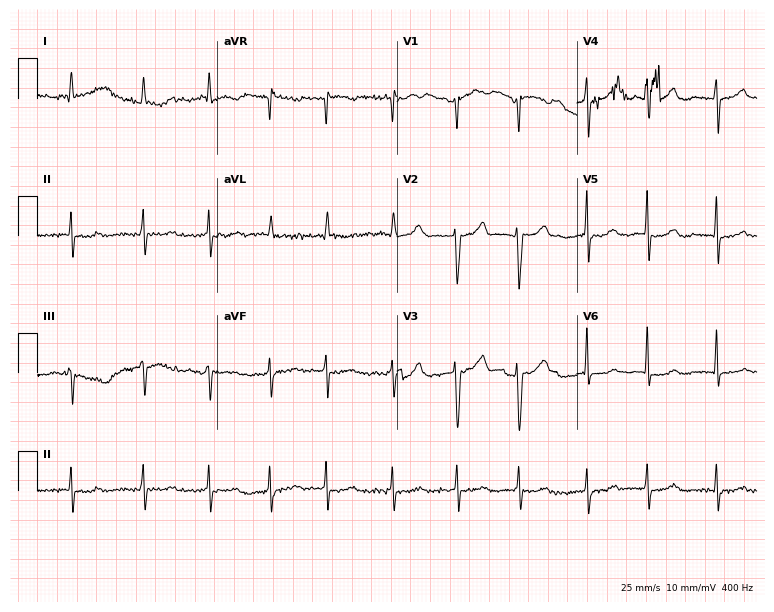
Standard 12-lead ECG recorded from an 80-year-old woman (7.3-second recording at 400 Hz). The tracing shows atrial fibrillation.